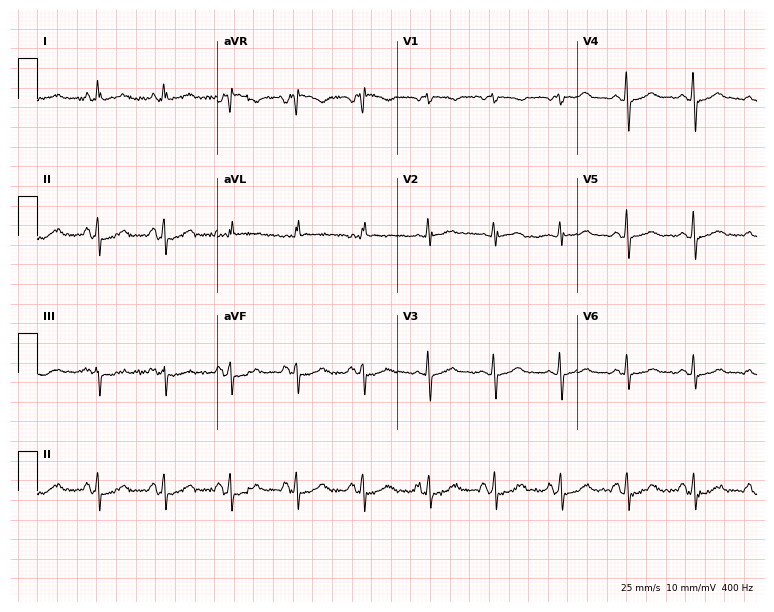
Resting 12-lead electrocardiogram (7.3-second recording at 400 Hz). Patient: a 66-year-old female. None of these six findings is recorded: first-degree AV block, right bundle branch block, left bundle branch block, sinus bradycardia, atrial fibrillation, sinus tachycardia.